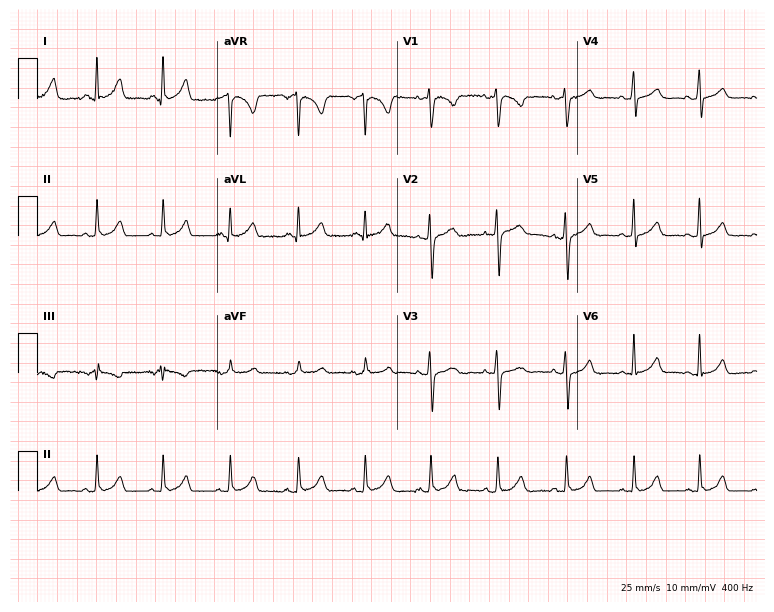
Standard 12-lead ECG recorded from a 33-year-old female. Read as a normal ECG.